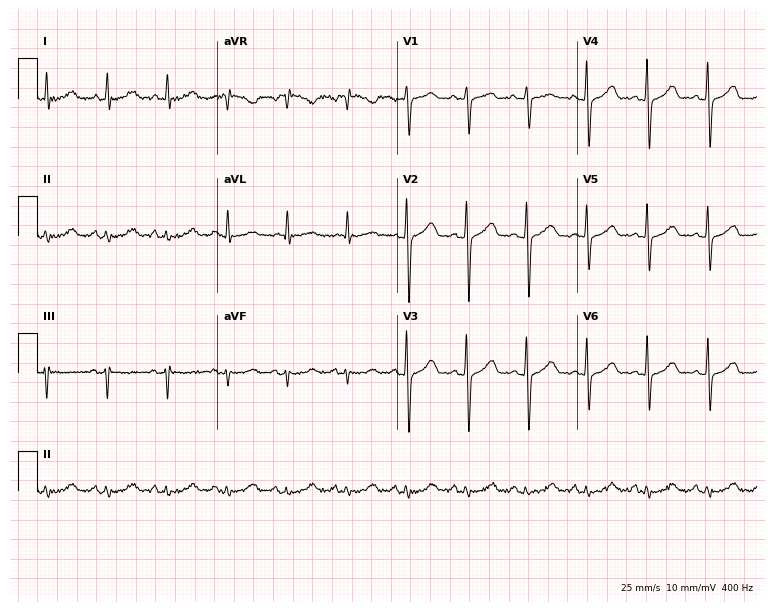
Electrocardiogram (7.3-second recording at 400 Hz), a 60-year-old female patient. Of the six screened findings (first-degree AV block, right bundle branch block, left bundle branch block, sinus bradycardia, atrial fibrillation, sinus tachycardia), none is recorded.